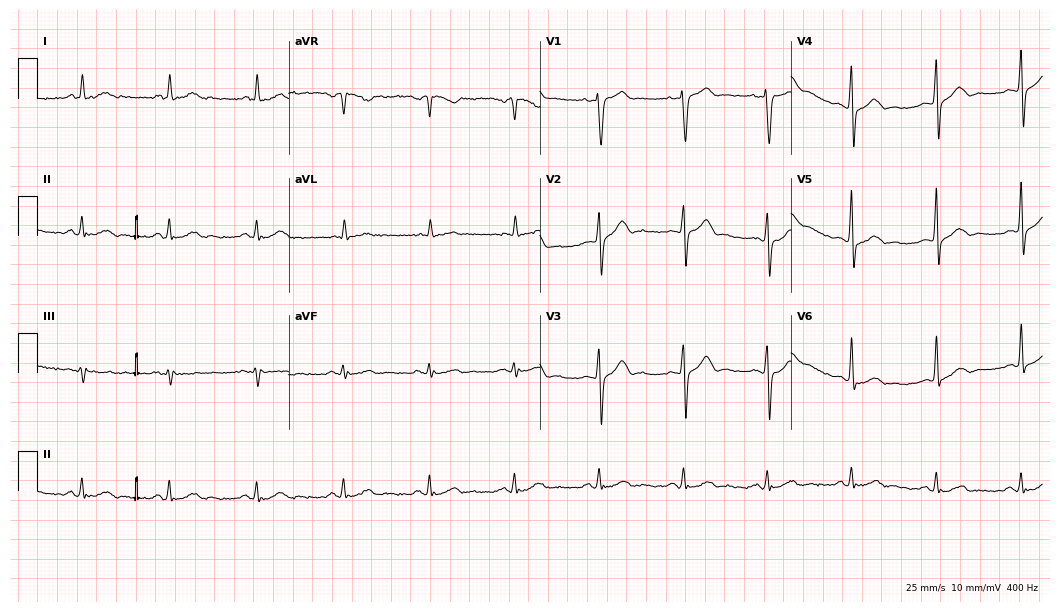
ECG (10.2-second recording at 400 Hz) — a 67-year-old male patient. Labelled as a normal ECG.